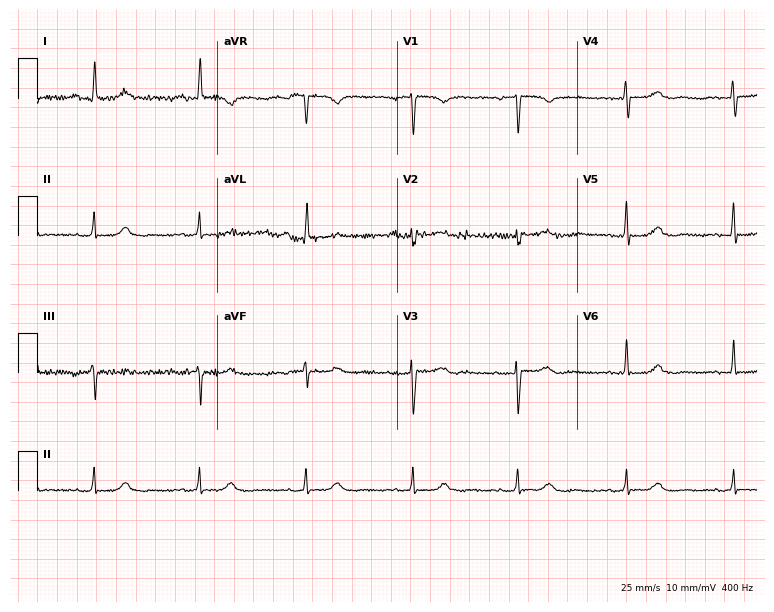
12-lead ECG from a 73-year-old woman. Screened for six findings — first-degree AV block, right bundle branch block, left bundle branch block, sinus bradycardia, atrial fibrillation, sinus tachycardia — none is recorded. Only these six findings were labelled.